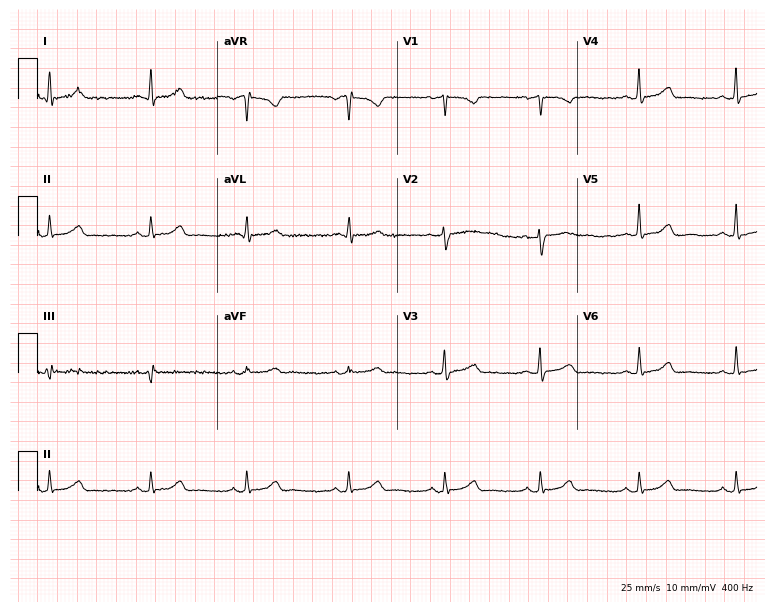
12-lead ECG (7.3-second recording at 400 Hz) from a female, 50 years old. Labelled as a normal ECG.